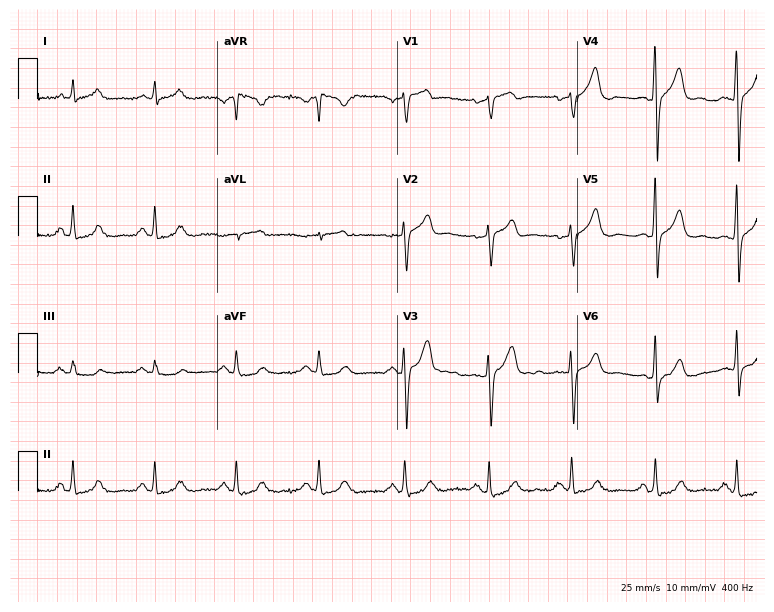
Resting 12-lead electrocardiogram (7.3-second recording at 400 Hz). Patient: a 51-year-old male. None of these six findings is recorded: first-degree AV block, right bundle branch block, left bundle branch block, sinus bradycardia, atrial fibrillation, sinus tachycardia. Only these six findings were labelled.